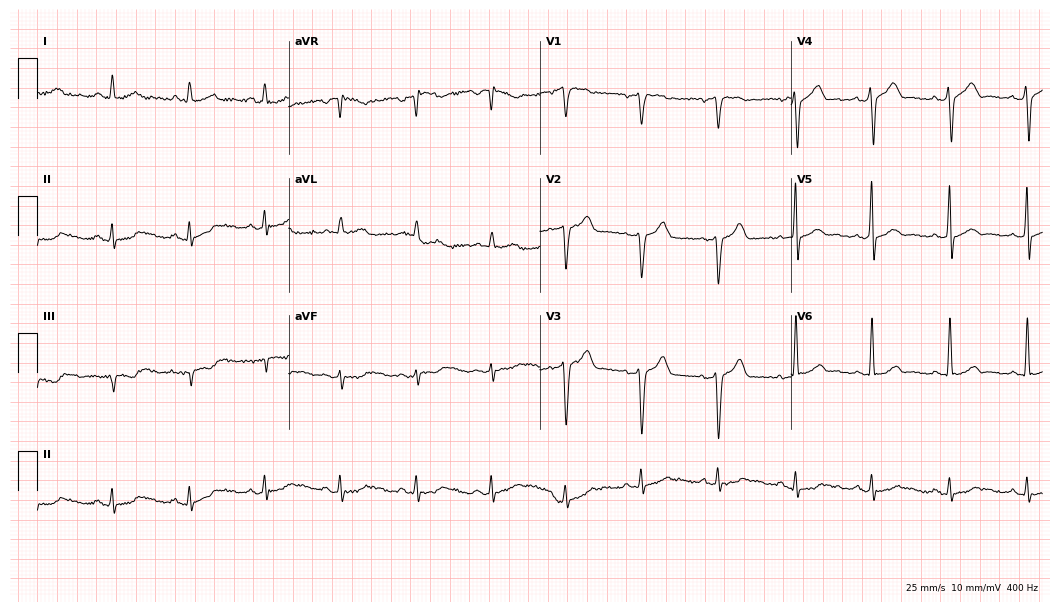
12-lead ECG from a male, 45 years old. Recorded interpretation: within normal limits.